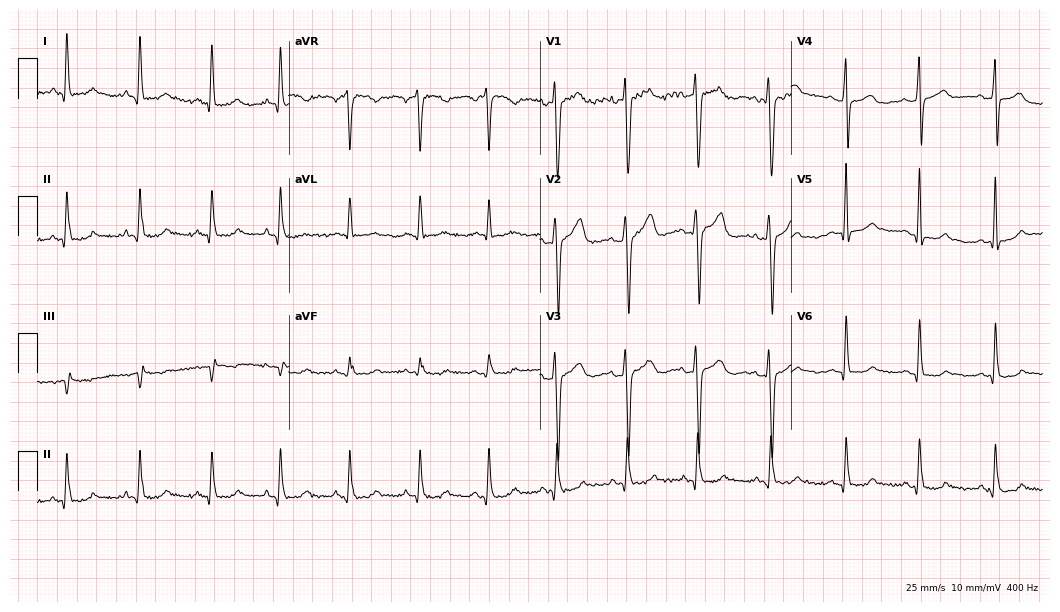
ECG (10.2-second recording at 400 Hz) — a female, 29 years old. Labelled as a normal ECG.